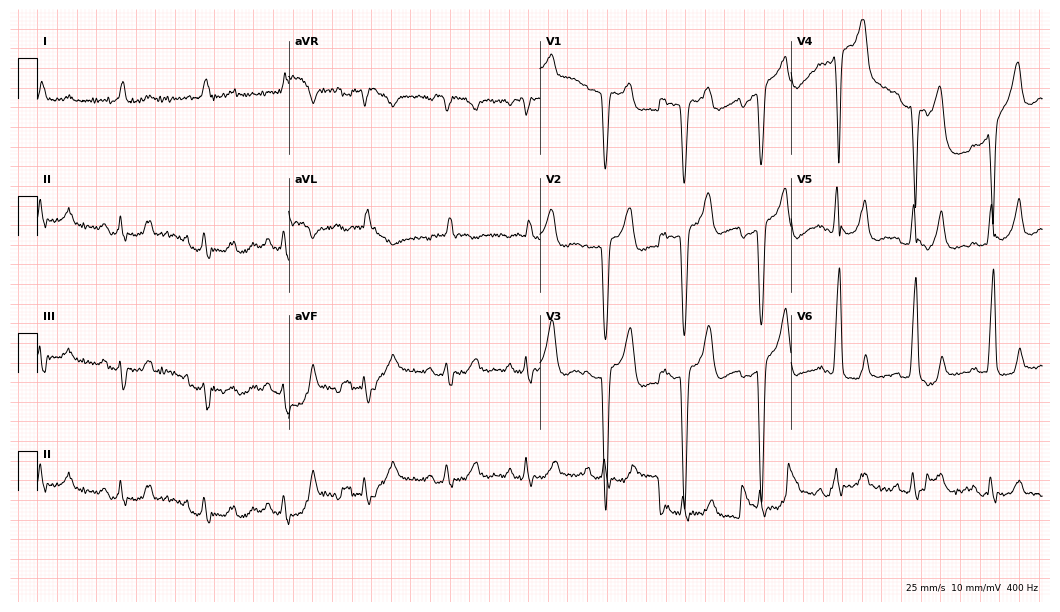
ECG — a female patient, 73 years old. Screened for six findings — first-degree AV block, right bundle branch block, left bundle branch block, sinus bradycardia, atrial fibrillation, sinus tachycardia — none is recorded.